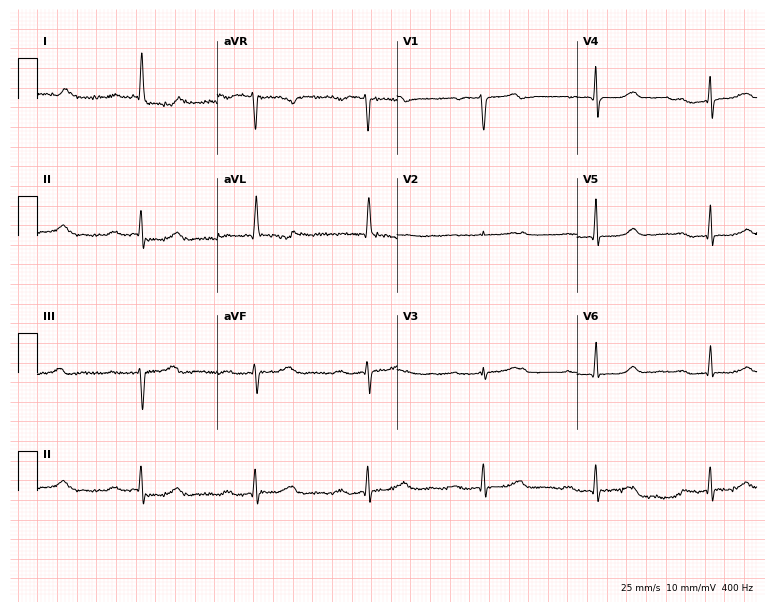
12-lead ECG (7.3-second recording at 400 Hz) from a woman, 70 years old. Findings include first-degree AV block.